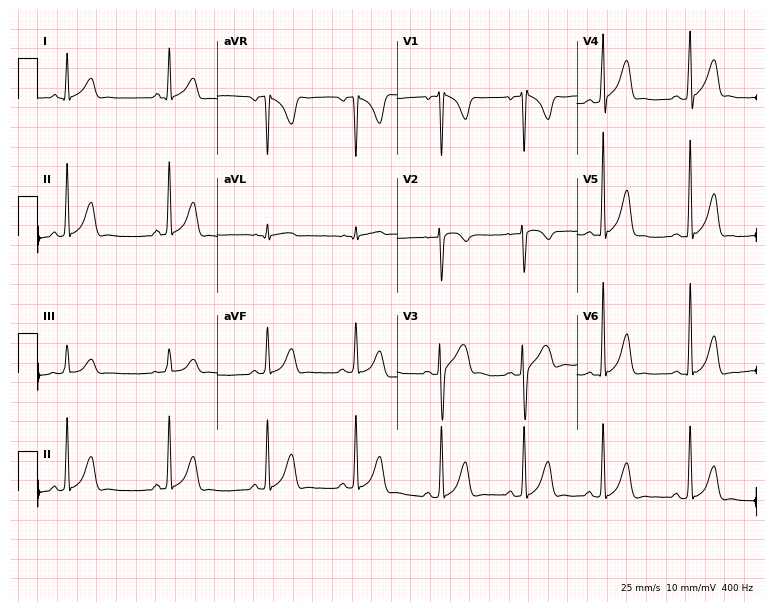
Standard 12-lead ECG recorded from a 17-year-old female patient (7.3-second recording at 400 Hz). None of these six findings is recorded: first-degree AV block, right bundle branch block, left bundle branch block, sinus bradycardia, atrial fibrillation, sinus tachycardia. Only these six findings were labelled.